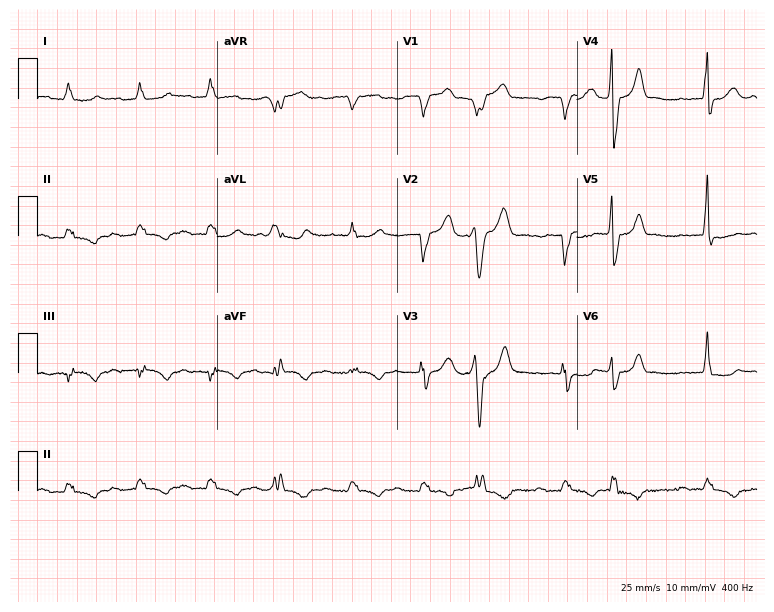
Resting 12-lead electrocardiogram. Patient: a 71-year-old male. The tracing shows atrial fibrillation.